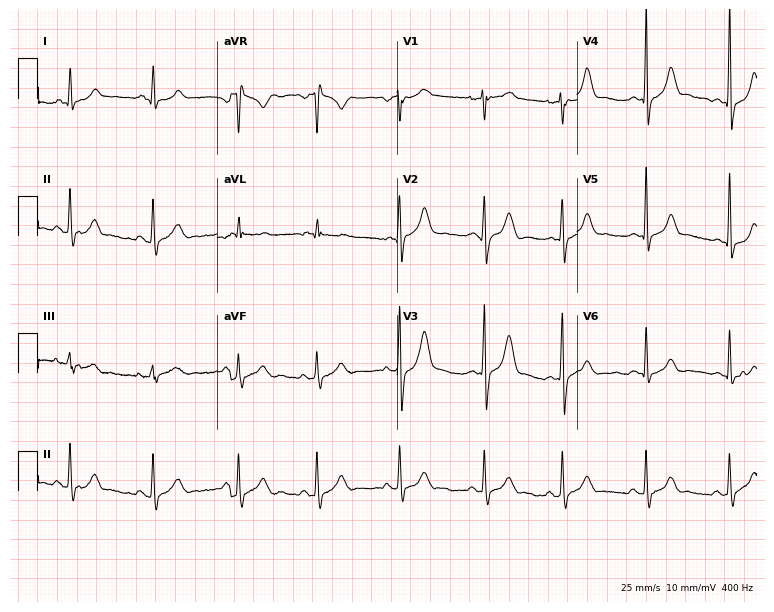
12-lead ECG from an 18-year-old woman (7.3-second recording at 400 Hz). Recorded interpretation: within normal limits.